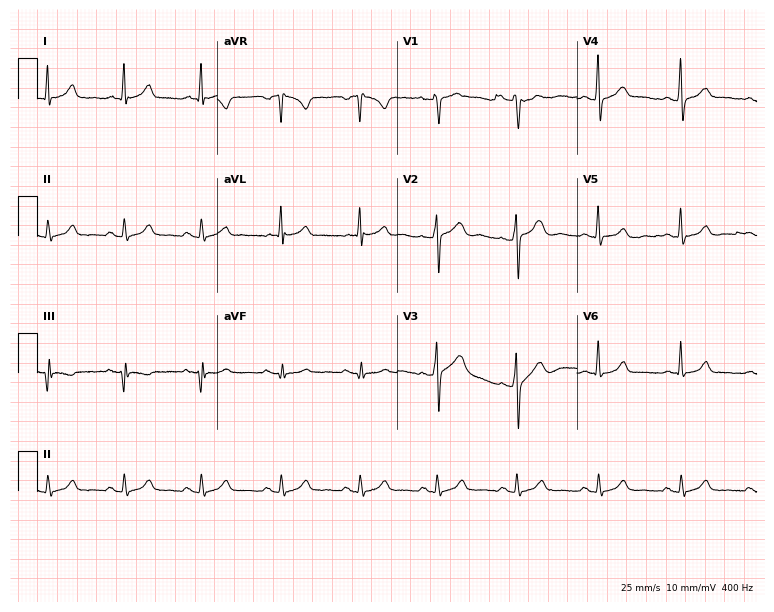
12-lead ECG (7.3-second recording at 400 Hz) from a 50-year-old male. Labelled as a normal ECG.